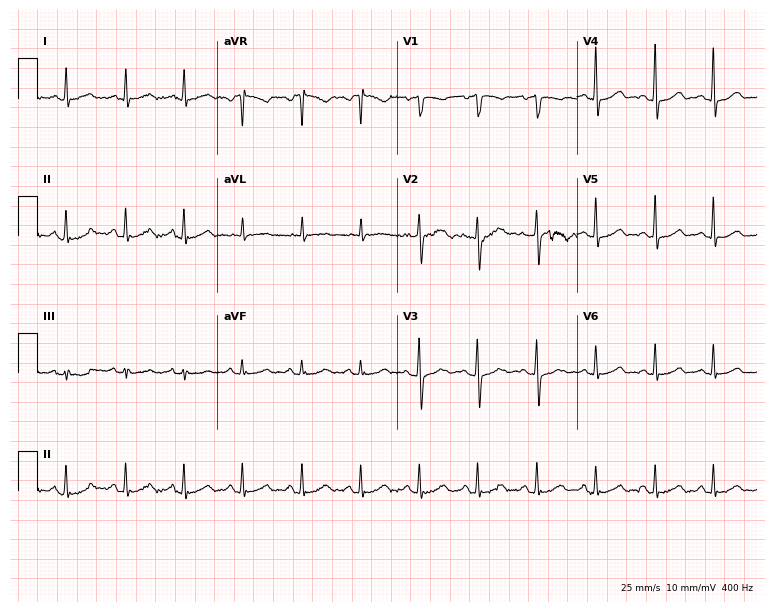
12-lead ECG from a 68-year-old woman (7.3-second recording at 400 Hz). Recorded interpretation: within normal limits.